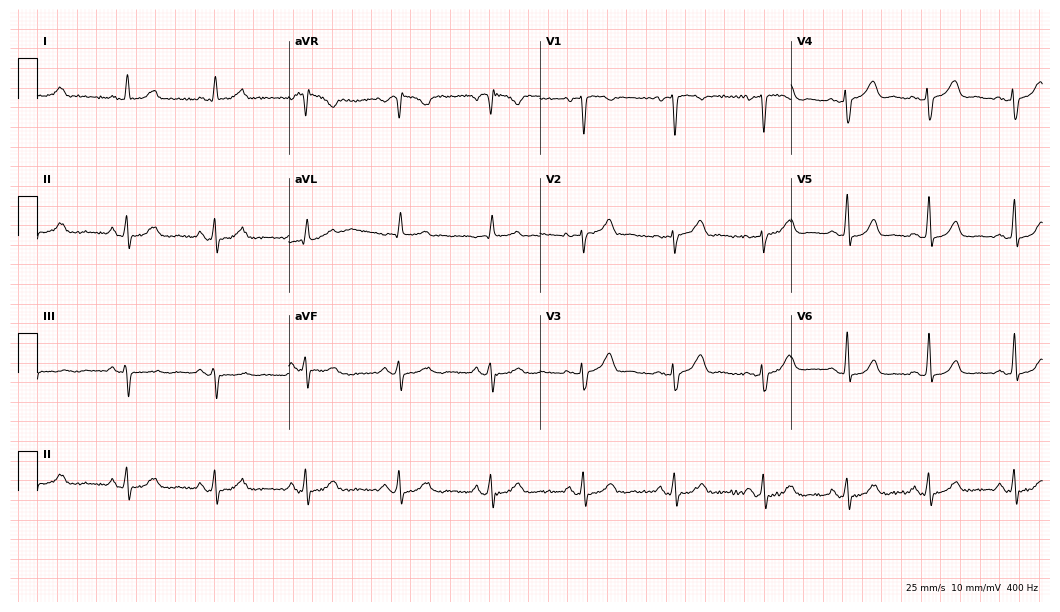
12-lead ECG from a woman, 44 years old. No first-degree AV block, right bundle branch block (RBBB), left bundle branch block (LBBB), sinus bradycardia, atrial fibrillation (AF) or sinus tachycardia recorded for this tracing. Only these six findings were labelled.